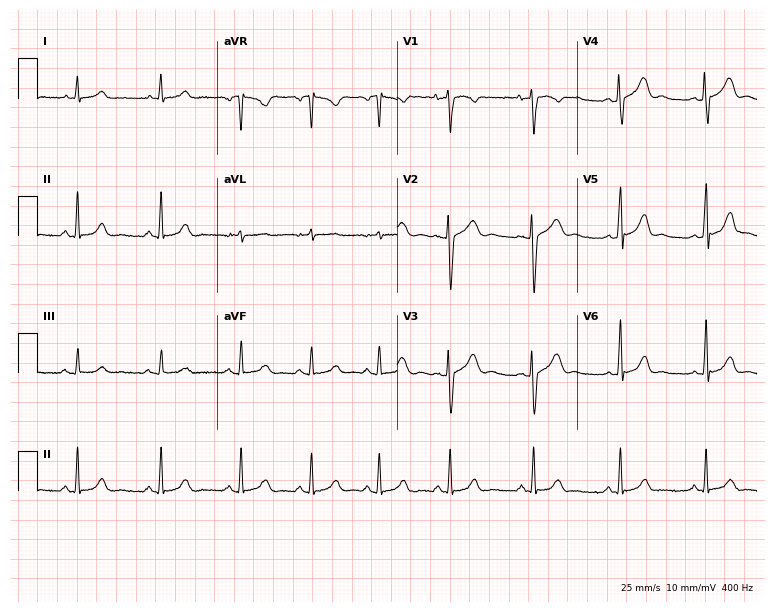
ECG (7.3-second recording at 400 Hz) — a 24-year-old woman. Screened for six findings — first-degree AV block, right bundle branch block, left bundle branch block, sinus bradycardia, atrial fibrillation, sinus tachycardia — none is recorded.